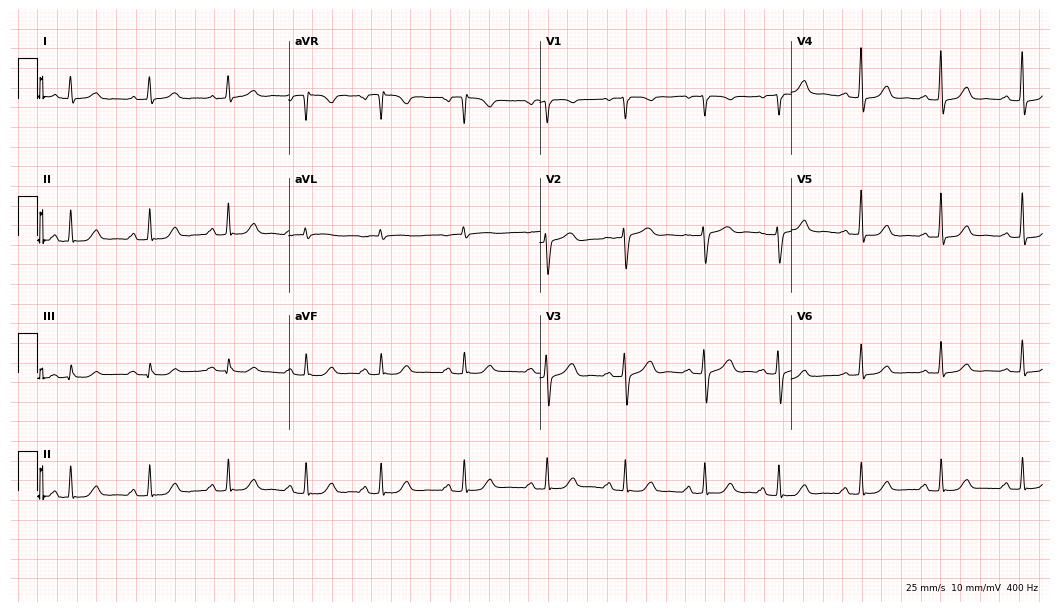
12-lead ECG from a 66-year-old female patient. Recorded interpretation: within normal limits.